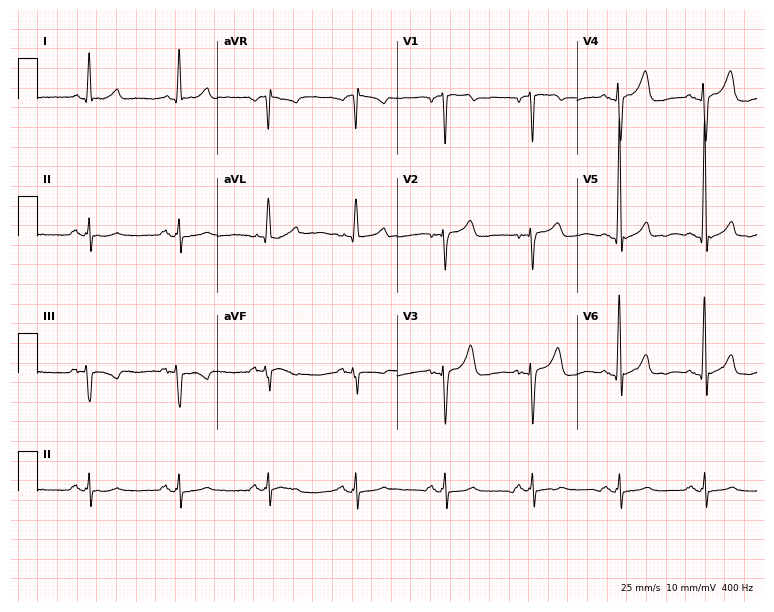
12-lead ECG from a man, 60 years old. No first-degree AV block, right bundle branch block, left bundle branch block, sinus bradycardia, atrial fibrillation or sinus tachycardia recorded for this tracing. Other findings, if any, are not listed.